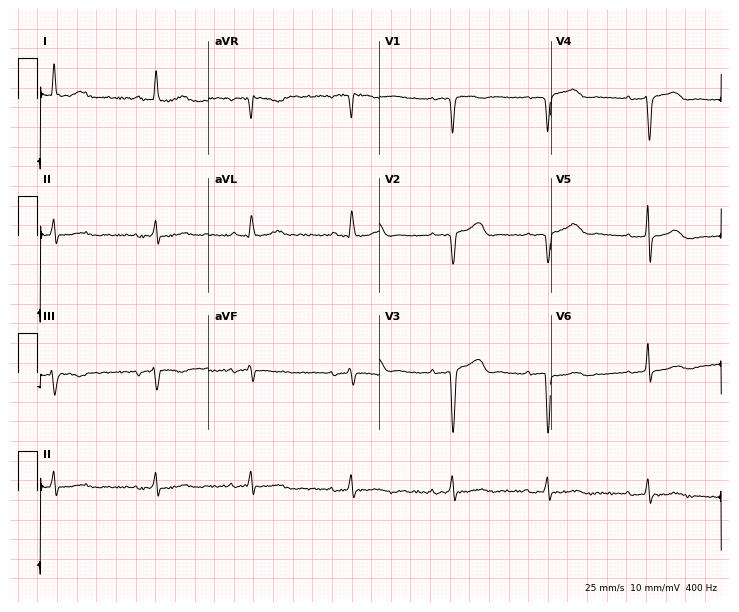
12-lead ECG from an 81-year-old female. Screened for six findings — first-degree AV block, right bundle branch block, left bundle branch block, sinus bradycardia, atrial fibrillation, sinus tachycardia — none is recorded. Only these six findings were labelled.